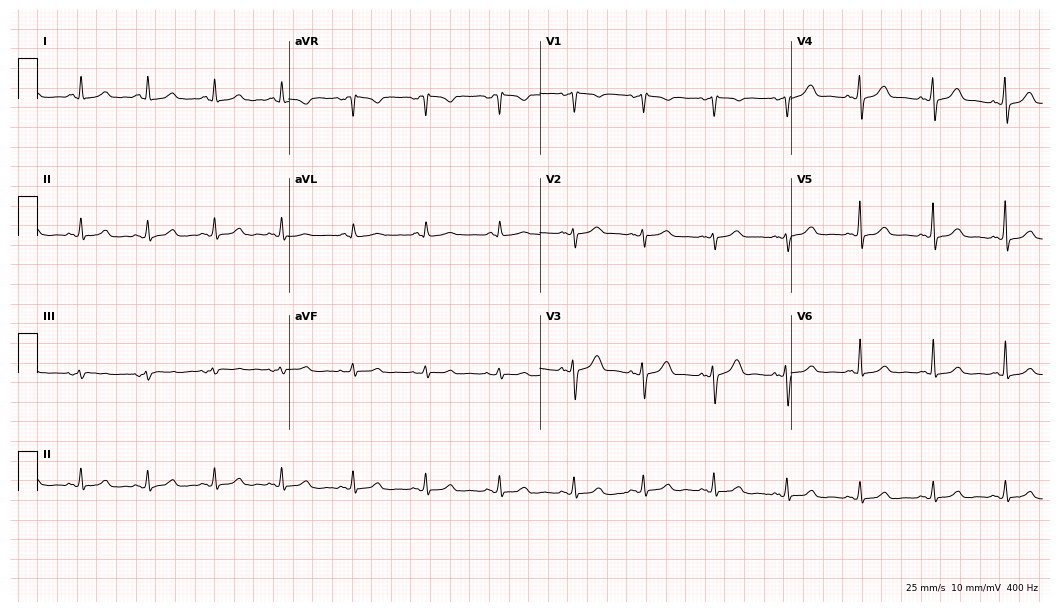
Standard 12-lead ECG recorded from a 47-year-old female patient (10.2-second recording at 400 Hz). Read as a normal ECG.